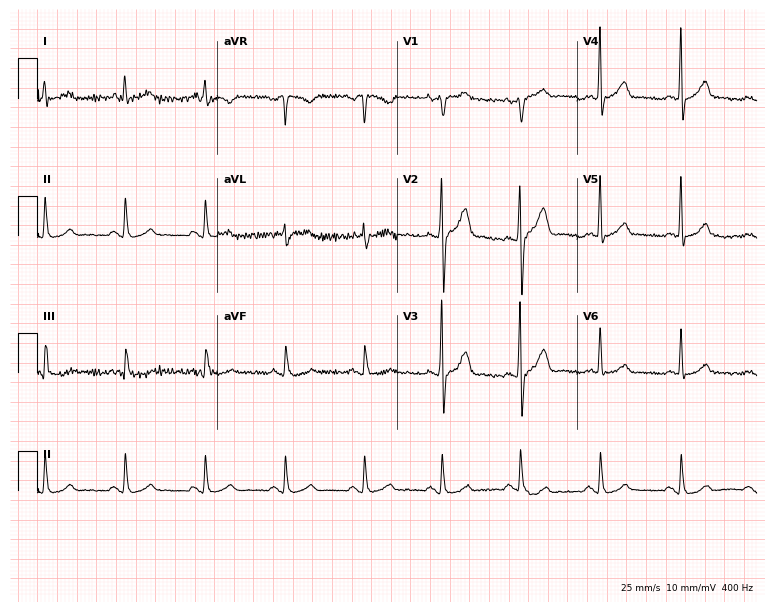
12-lead ECG (7.3-second recording at 400 Hz) from a 55-year-old male patient. Screened for six findings — first-degree AV block, right bundle branch block (RBBB), left bundle branch block (LBBB), sinus bradycardia, atrial fibrillation (AF), sinus tachycardia — none is recorded.